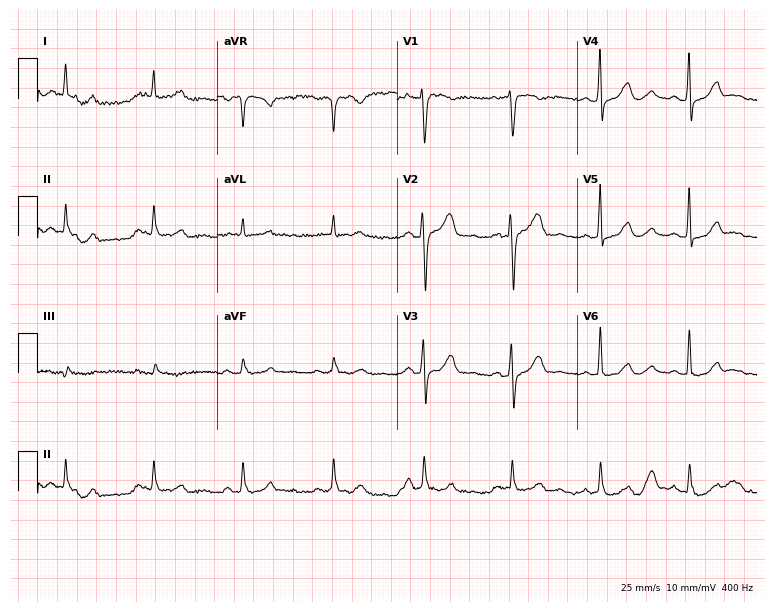
ECG — a 42-year-old female patient. Screened for six findings — first-degree AV block, right bundle branch block, left bundle branch block, sinus bradycardia, atrial fibrillation, sinus tachycardia — none is recorded. Other findings, if any, are not listed.